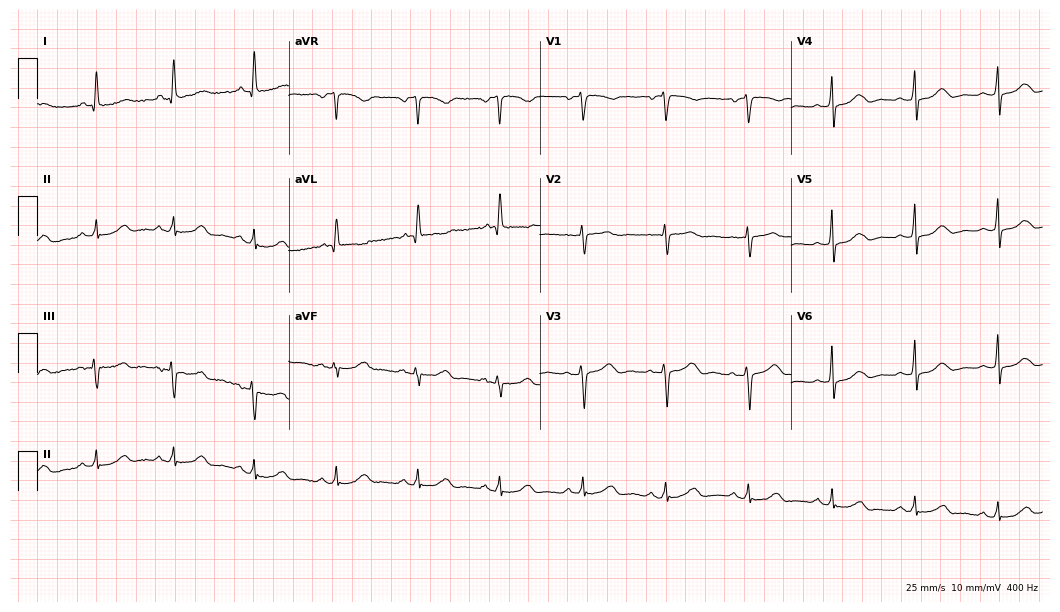
ECG (10.2-second recording at 400 Hz) — a female patient, 72 years old. Labelled as a normal ECG.